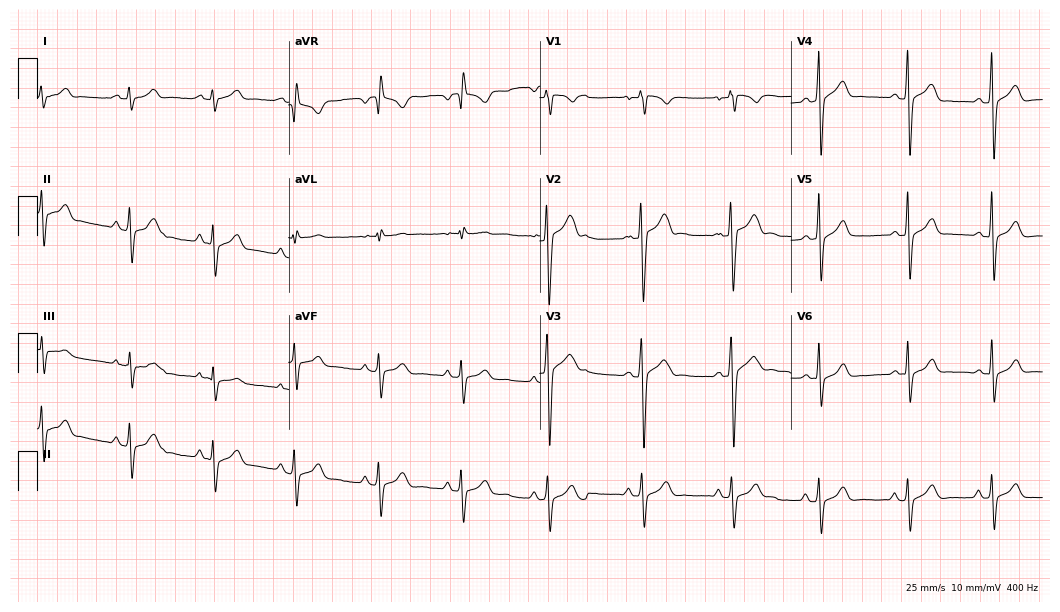
12-lead ECG from a man, 17 years old (10.2-second recording at 400 Hz). No first-degree AV block, right bundle branch block, left bundle branch block, sinus bradycardia, atrial fibrillation or sinus tachycardia recorded for this tracing. Only these six findings were labelled.